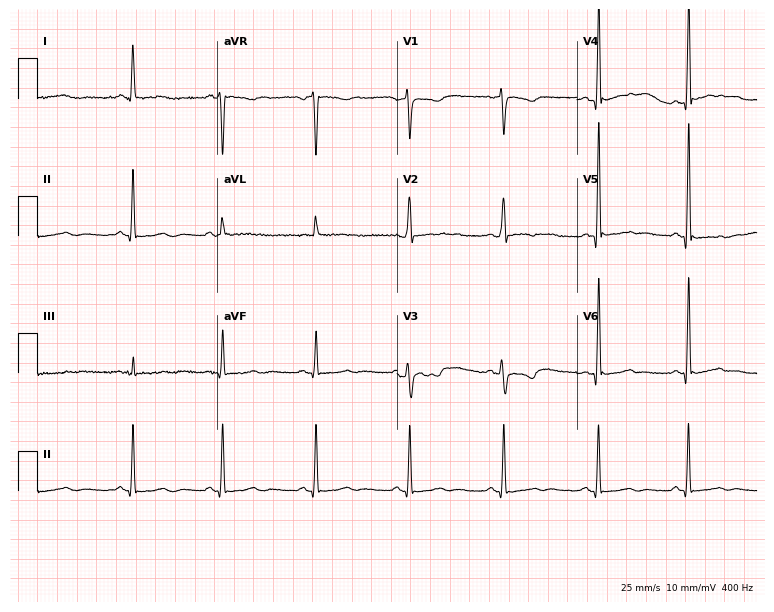
Electrocardiogram (7.3-second recording at 400 Hz), a female patient, 36 years old. Of the six screened findings (first-degree AV block, right bundle branch block (RBBB), left bundle branch block (LBBB), sinus bradycardia, atrial fibrillation (AF), sinus tachycardia), none is recorded.